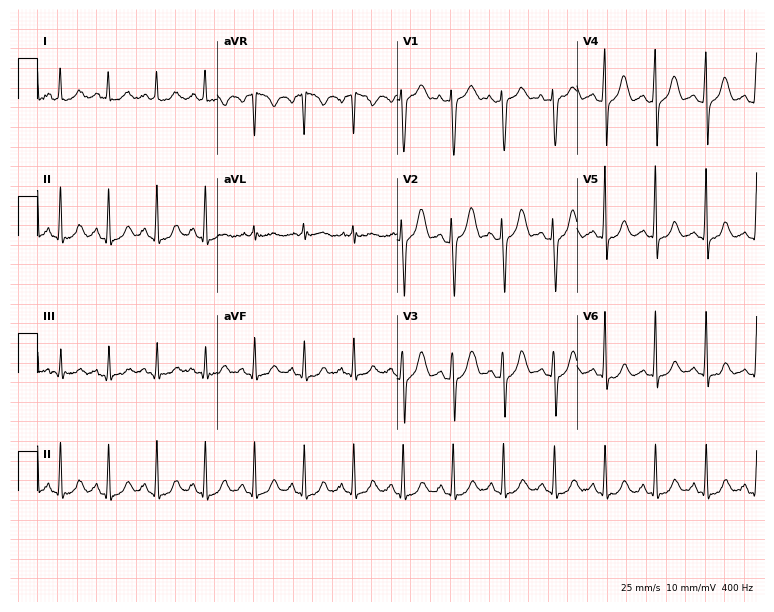
Electrocardiogram (7.3-second recording at 400 Hz), a woman, 31 years old. Interpretation includes sinus tachycardia (a sinus rate of 100 beats per minute or more).